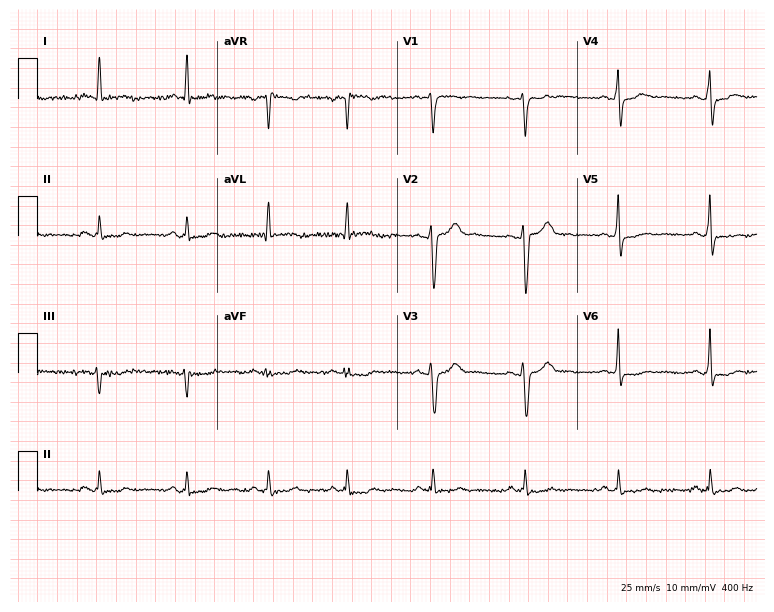
12-lead ECG (7.3-second recording at 400 Hz) from a male, 50 years old. Screened for six findings — first-degree AV block, right bundle branch block (RBBB), left bundle branch block (LBBB), sinus bradycardia, atrial fibrillation (AF), sinus tachycardia — none is recorded.